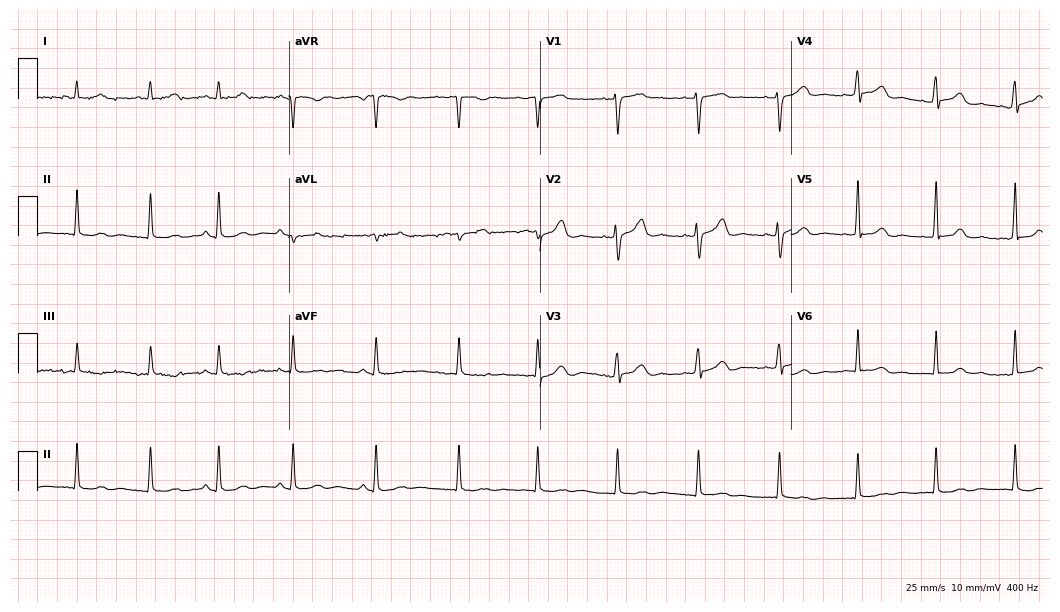
12-lead ECG from a female, 40 years old. Screened for six findings — first-degree AV block, right bundle branch block (RBBB), left bundle branch block (LBBB), sinus bradycardia, atrial fibrillation (AF), sinus tachycardia — none is recorded. Findings outside these six are not listed.